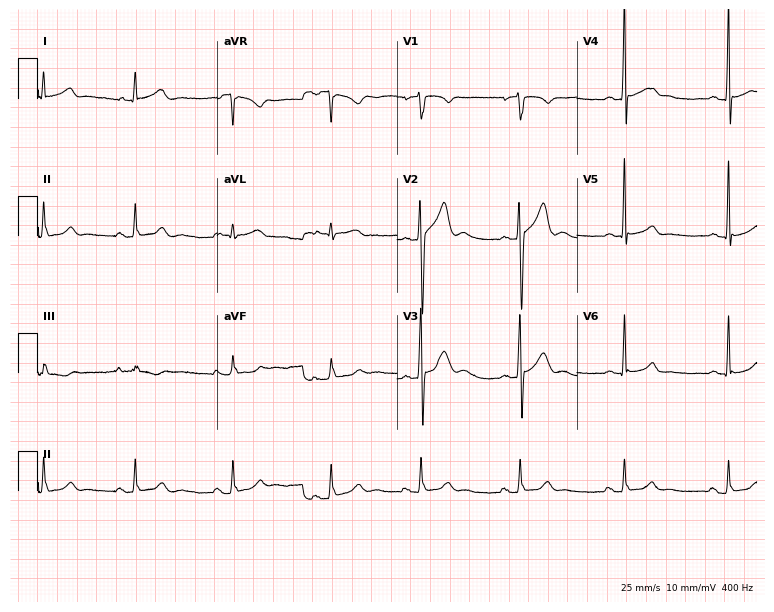
Standard 12-lead ECG recorded from a 20-year-old male (7.3-second recording at 400 Hz). Read as a normal ECG.